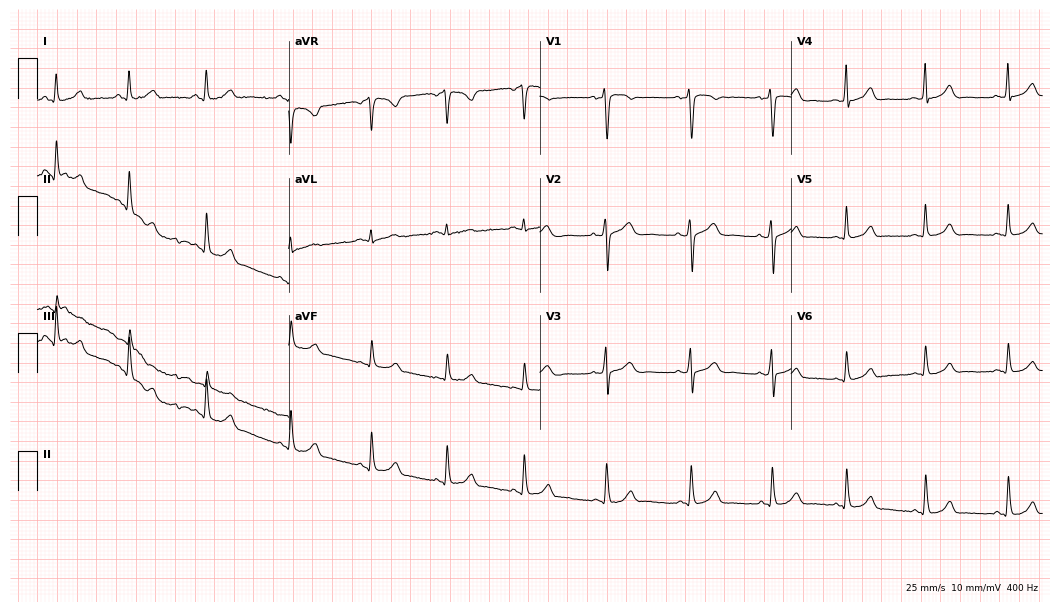
Electrocardiogram, a 25-year-old female. Overall reading on record: normal ECG.